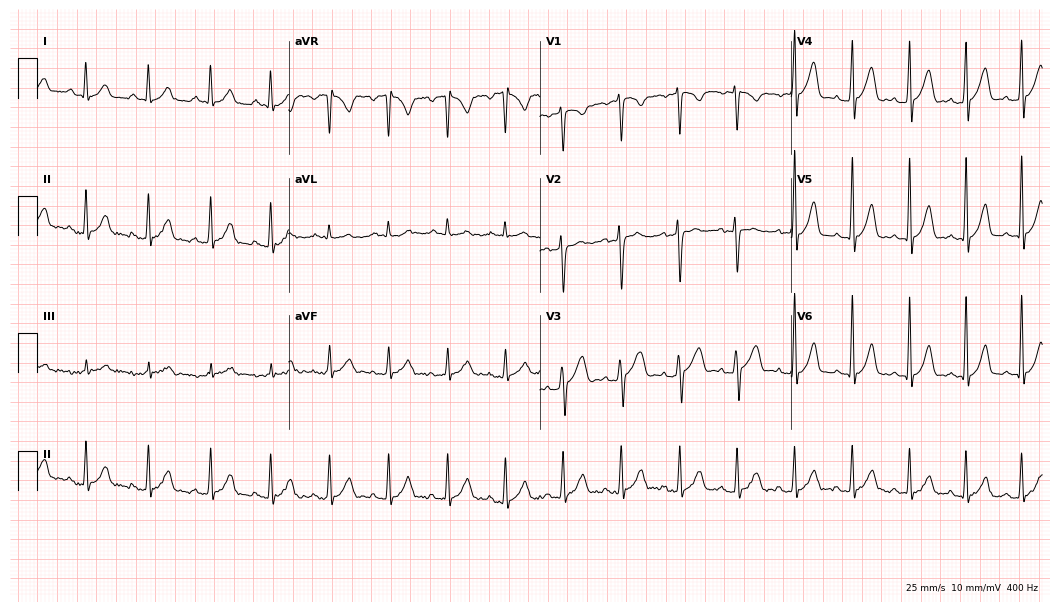
12-lead ECG from a 23-year-old woman. No first-degree AV block, right bundle branch block, left bundle branch block, sinus bradycardia, atrial fibrillation or sinus tachycardia recorded for this tracing. Only these six findings were labelled.